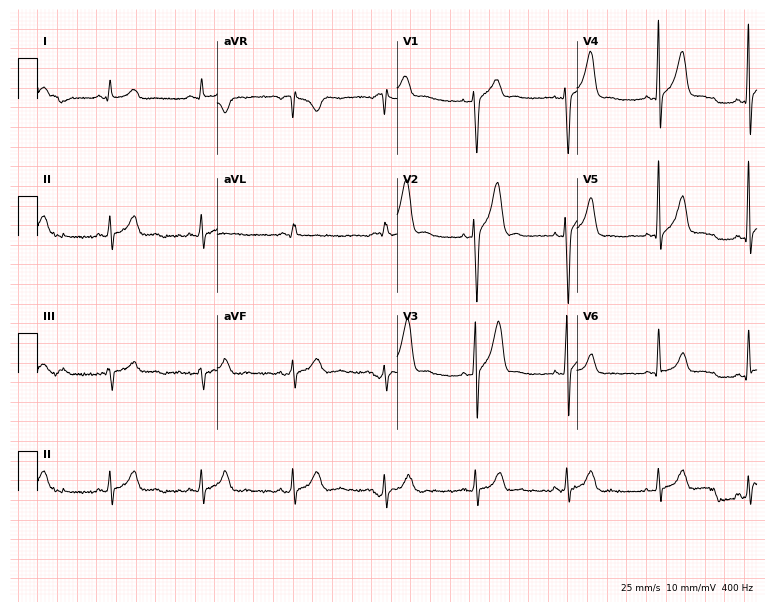
Electrocardiogram (7.3-second recording at 400 Hz), a 47-year-old male patient. Overall reading on record: normal ECG.